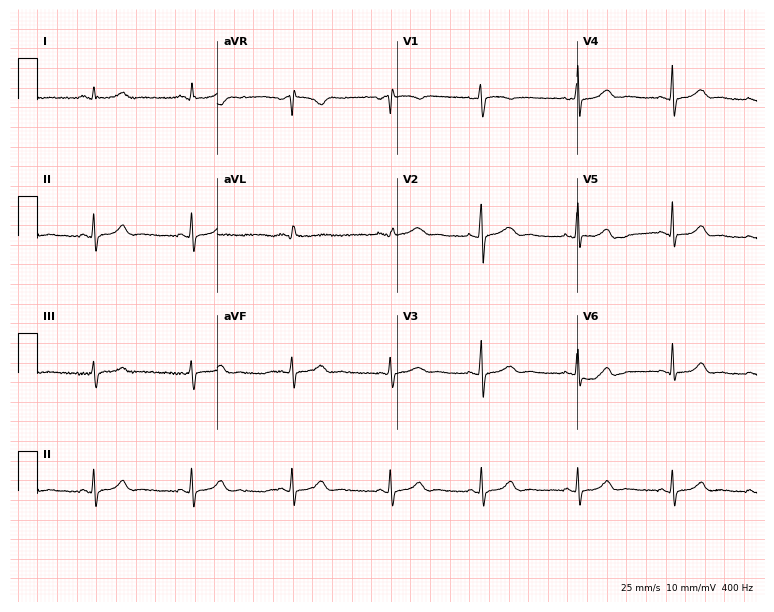
12-lead ECG from a female, 26 years old. Labelled as a normal ECG.